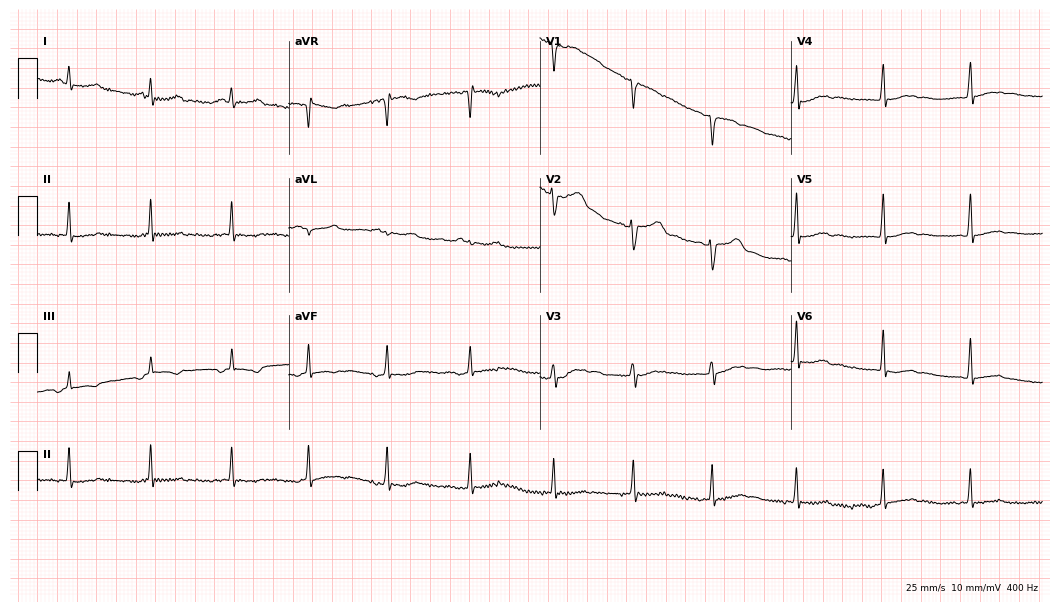
12-lead ECG (10.2-second recording at 400 Hz) from a 30-year-old female patient. Screened for six findings — first-degree AV block, right bundle branch block, left bundle branch block, sinus bradycardia, atrial fibrillation, sinus tachycardia — none is recorded.